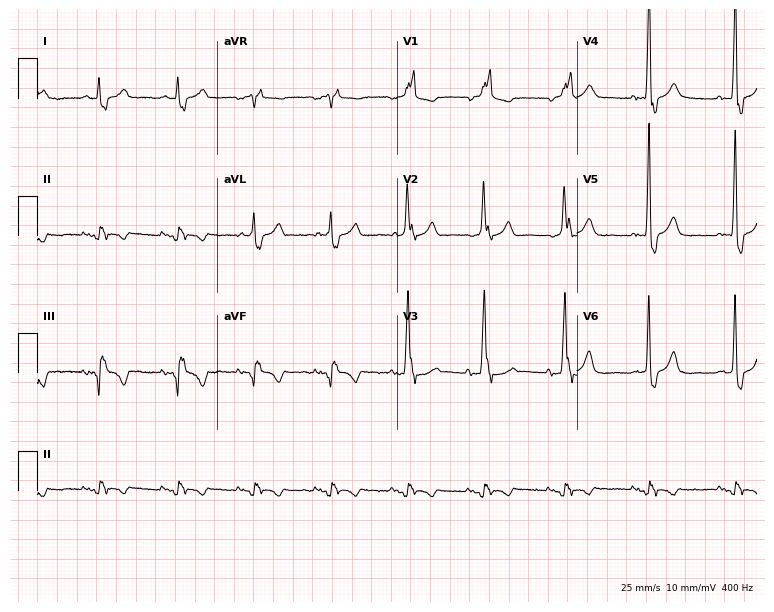
12-lead ECG from a man, 74 years old. Findings include right bundle branch block.